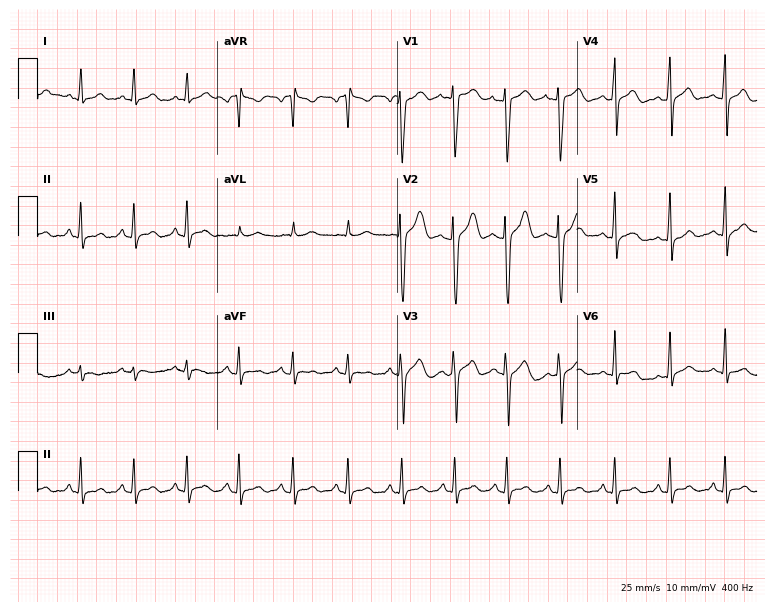
12-lead ECG (7.3-second recording at 400 Hz) from a male patient, 20 years old. Findings include sinus tachycardia (a sinus rate of 100 beats per minute or more).